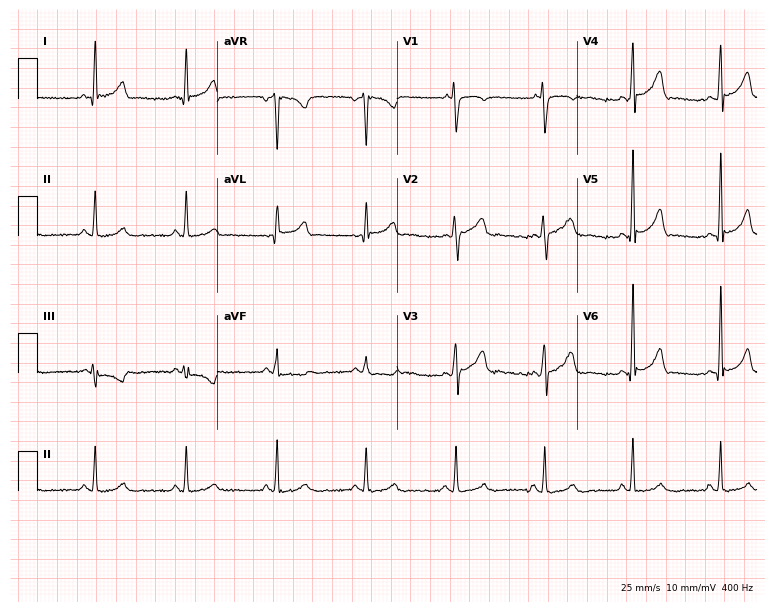
Standard 12-lead ECG recorded from a female, 41 years old (7.3-second recording at 400 Hz). None of these six findings is recorded: first-degree AV block, right bundle branch block, left bundle branch block, sinus bradycardia, atrial fibrillation, sinus tachycardia. Only these six findings were labelled.